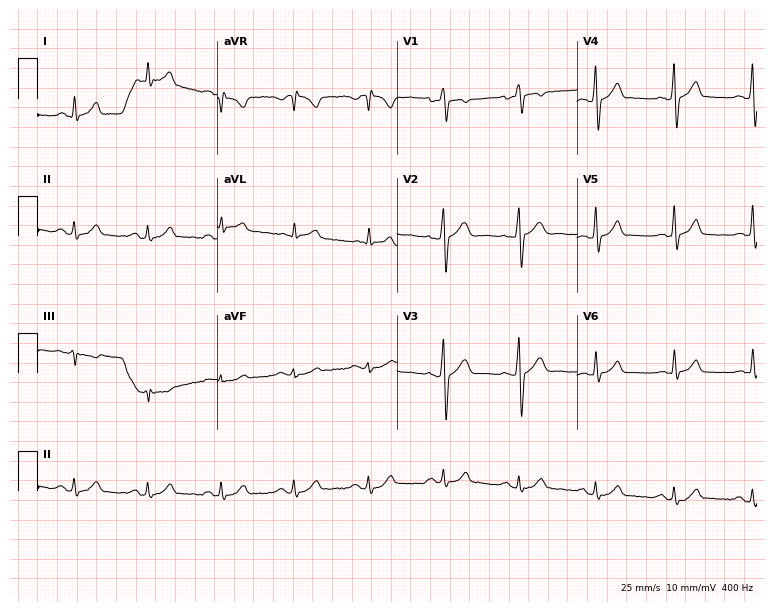
12-lead ECG from a male, 49 years old. Screened for six findings — first-degree AV block, right bundle branch block, left bundle branch block, sinus bradycardia, atrial fibrillation, sinus tachycardia — none is recorded. Other findings, if any, are not listed.